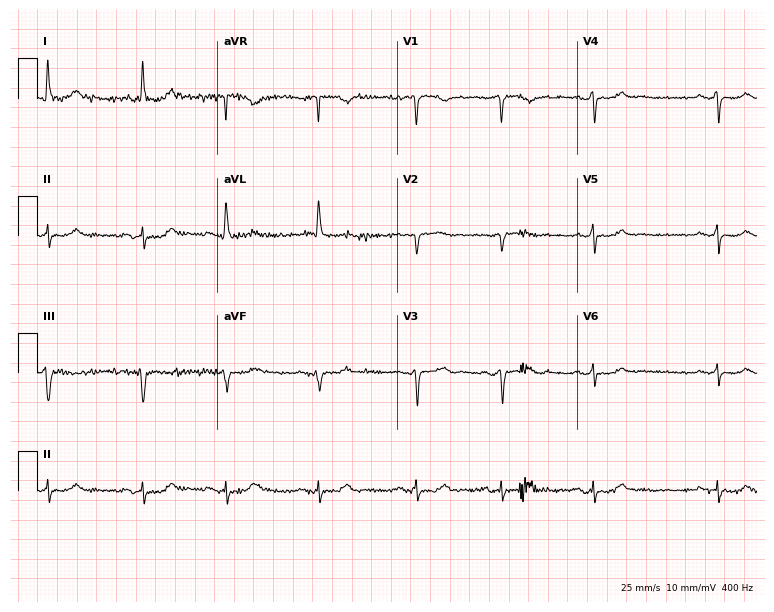
ECG — a 65-year-old female. Screened for six findings — first-degree AV block, right bundle branch block, left bundle branch block, sinus bradycardia, atrial fibrillation, sinus tachycardia — none is recorded. Only these six findings were labelled.